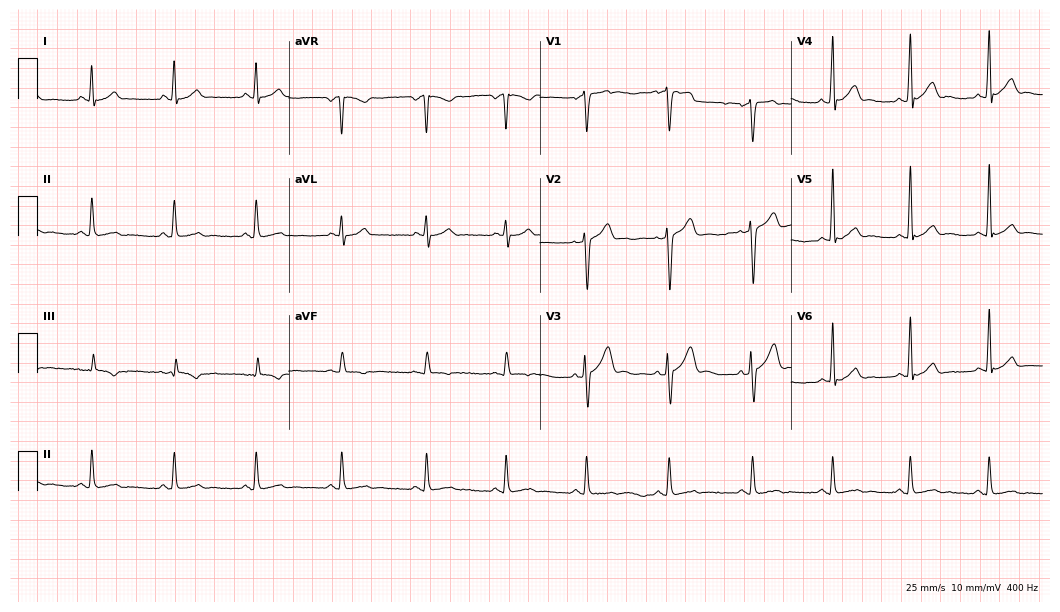
Standard 12-lead ECG recorded from a 41-year-old man (10.2-second recording at 400 Hz). Read as a normal ECG.